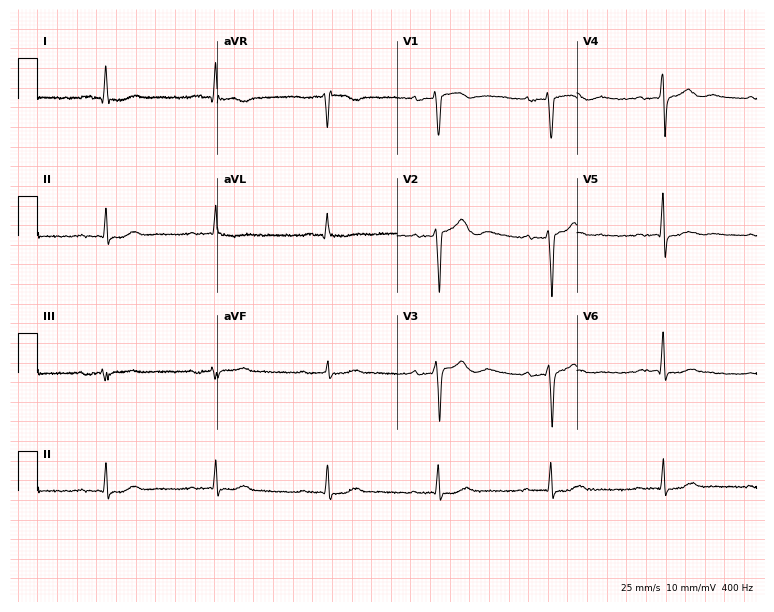
Standard 12-lead ECG recorded from a male, 70 years old (7.3-second recording at 400 Hz). None of these six findings is recorded: first-degree AV block, right bundle branch block, left bundle branch block, sinus bradycardia, atrial fibrillation, sinus tachycardia. Other findings, if any, are not listed.